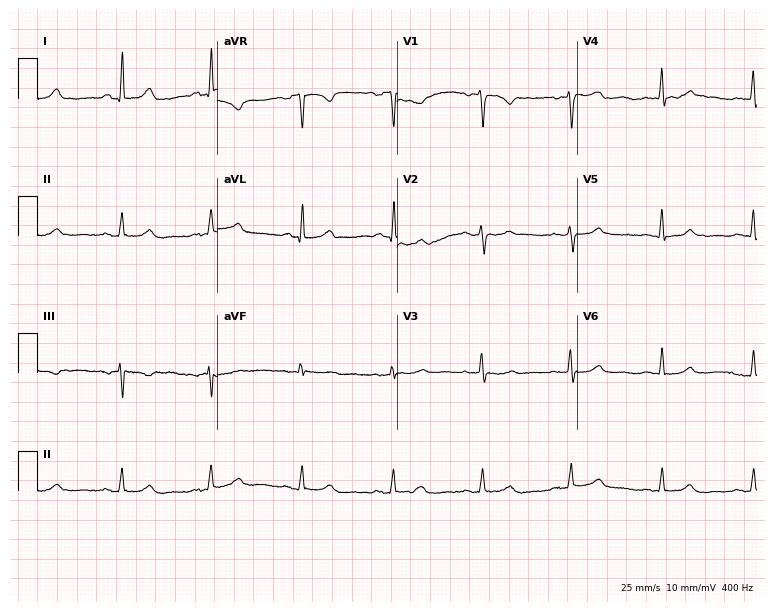
ECG — a female, 46 years old. Labelled as a normal ECG.